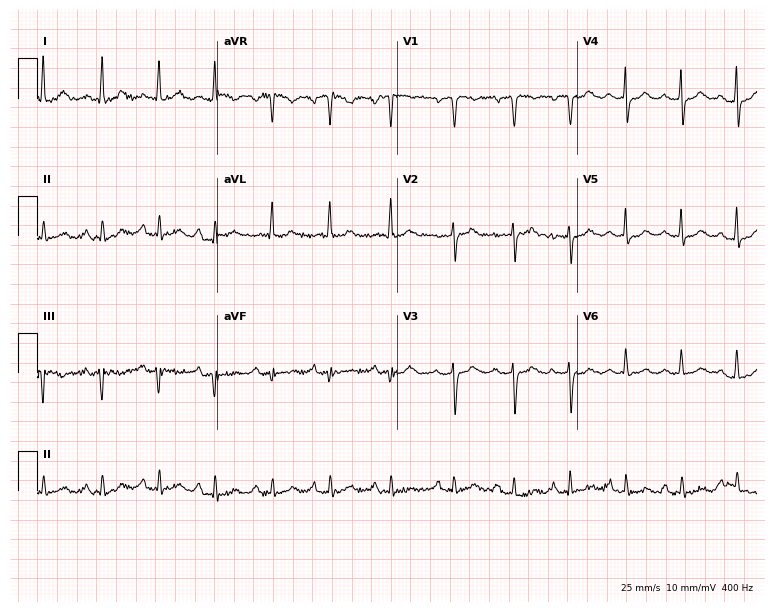
Resting 12-lead electrocardiogram. Patient: a 51-year-old female. The tracing shows sinus tachycardia (a sinus rate of 100 beats per minute or more).